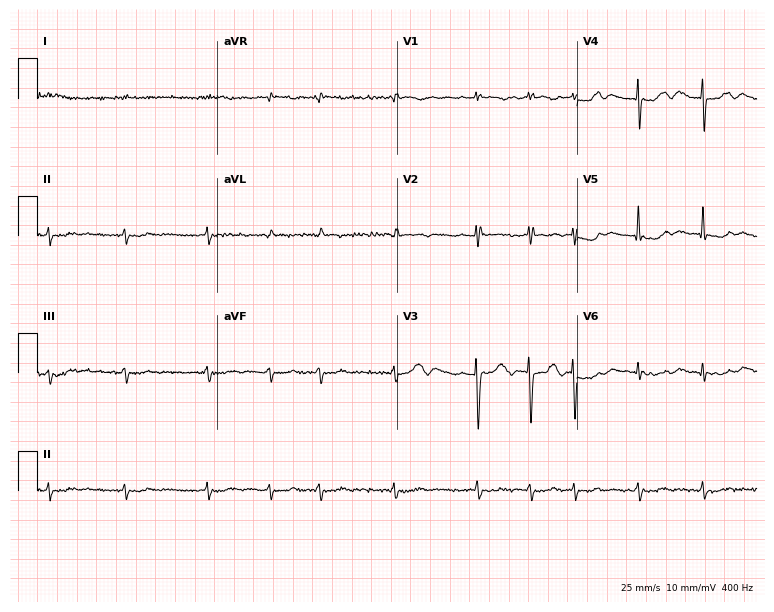
Standard 12-lead ECG recorded from an 83-year-old male. The tracing shows atrial fibrillation.